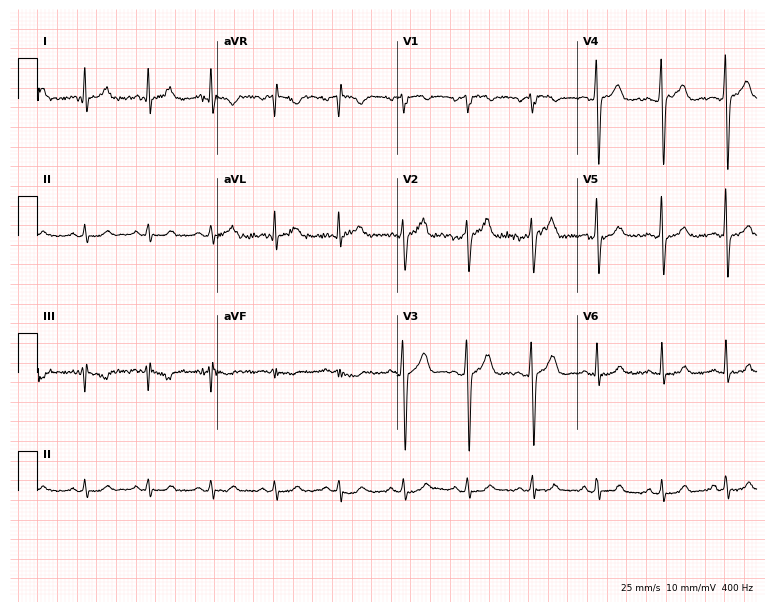
ECG — a male patient, 39 years old. Labelled as a normal ECG.